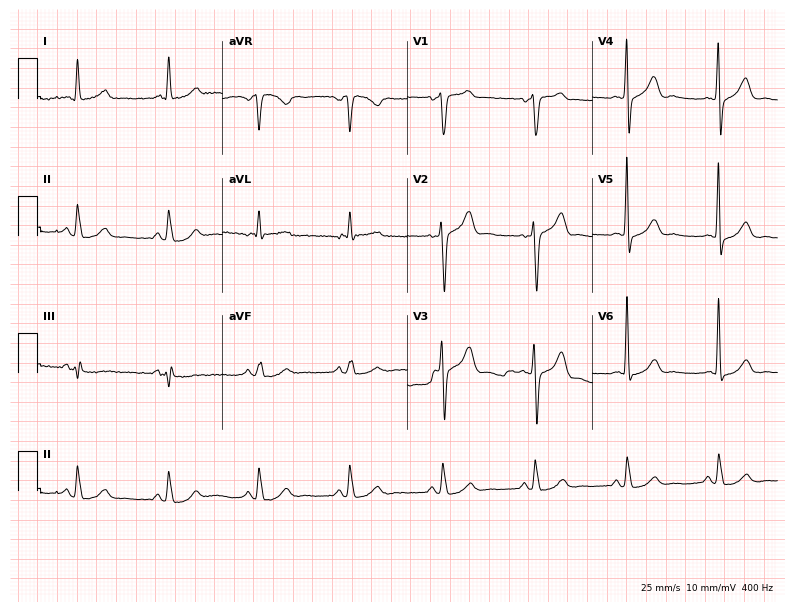
Resting 12-lead electrocardiogram (7.5-second recording at 400 Hz). Patient: a 74-year-old male. Read as a normal ECG.